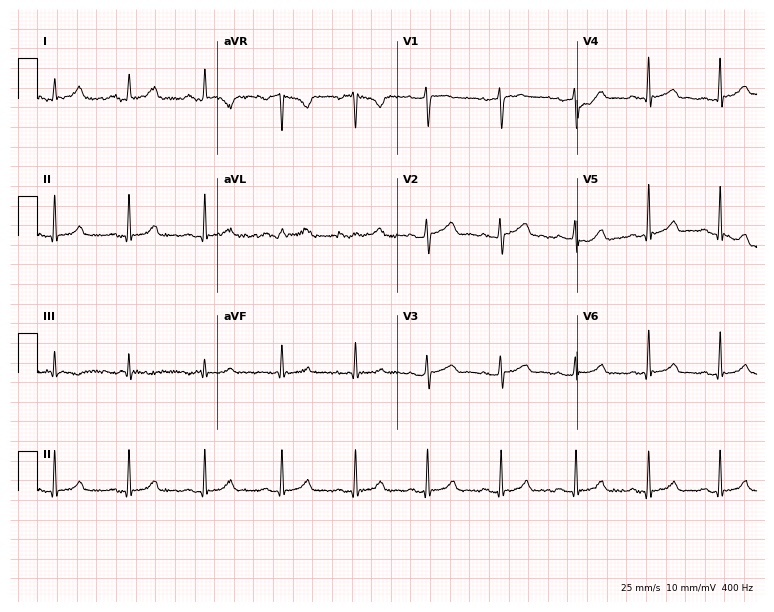
12-lead ECG from a 23-year-old female. Recorded interpretation: within normal limits.